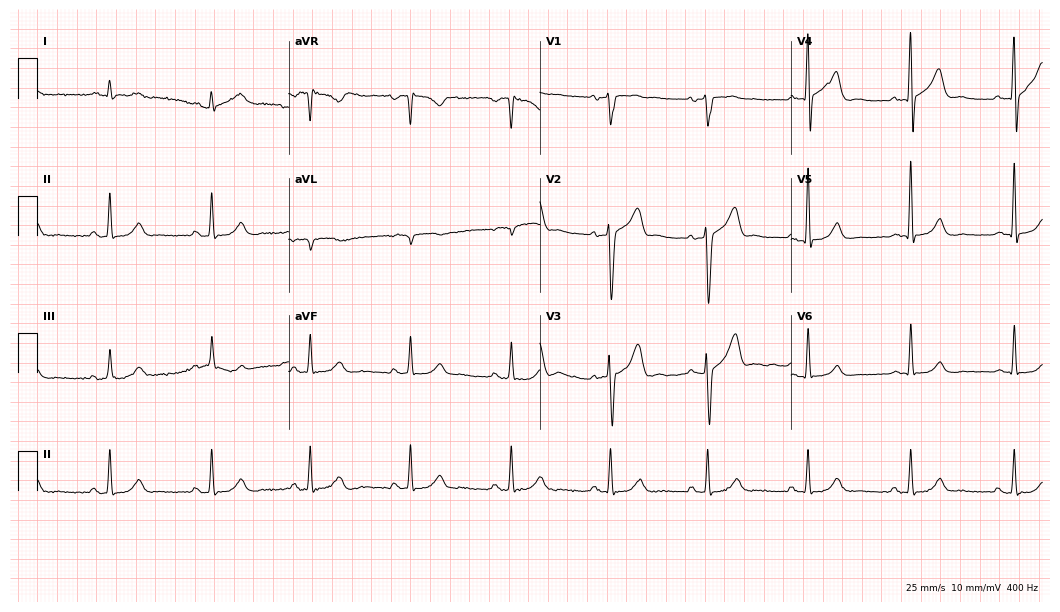
Electrocardiogram, a 62-year-old male. Of the six screened findings (first-degree AV block, right bundle branch block, left bundle branch block, sinus bradycardia, atrial fibrillation, sinus tachycardia), none is recorded. Findings outside these six are not listed.